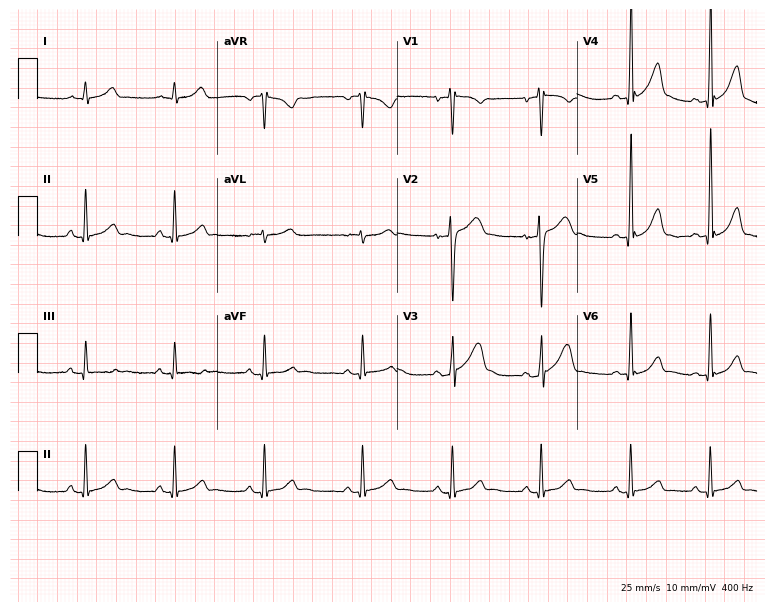
Standard 12-lead ECG recorded from a male patient, 33 years old. Read as a normal ECG.